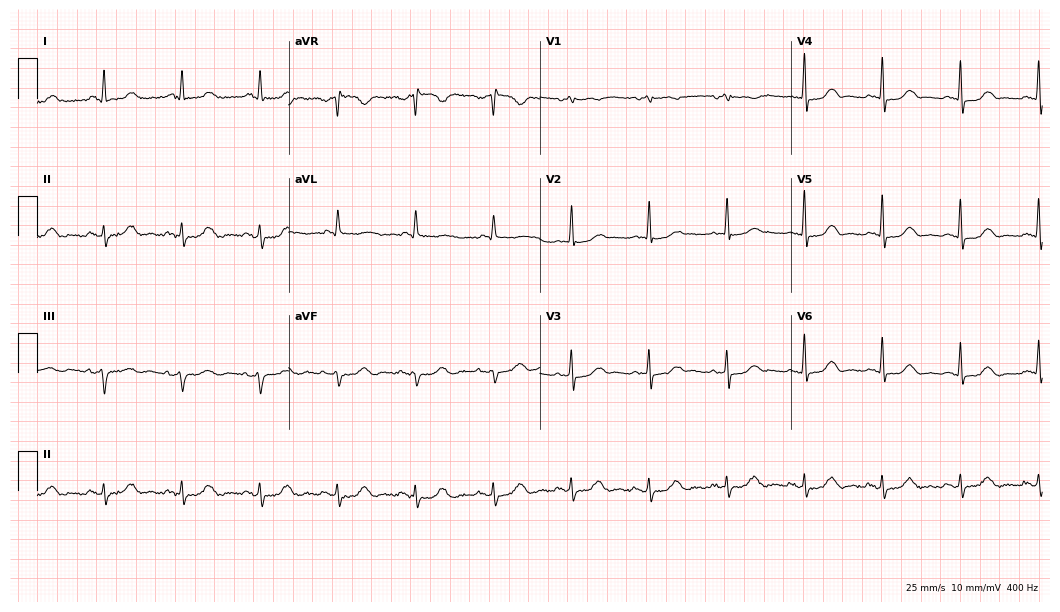
Standard 12-lead ECG recorded from a woman, 79 years old (10.2-second recording at 400 Hz). Read as a normal ECG.